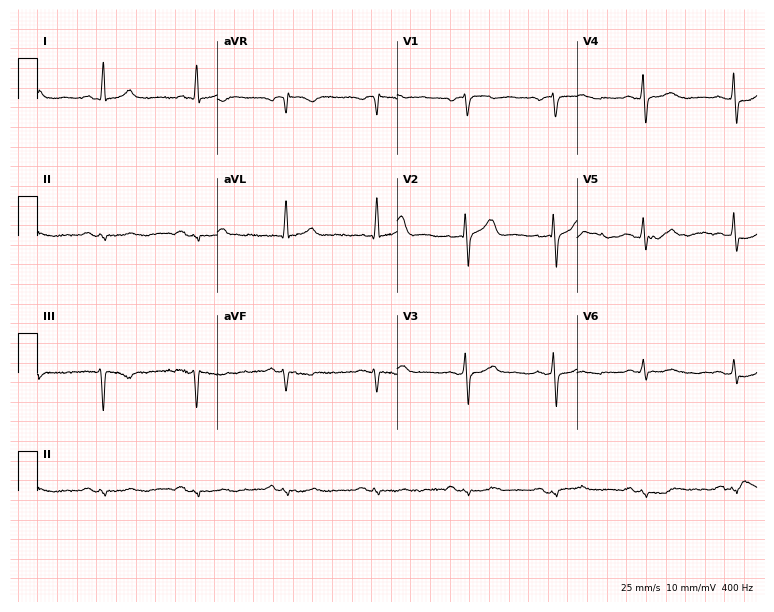
12-lead ECG (7.3-second recording at 400 Hz) from a male, 47 years old. Screened for six findings — first-degree AV block, right bundle branch block (RBBB), left bundle branch block (LBBB), sinus bradycardia, atrial fibrillation (AF), sinus tachycardia — none is recorded. Only these six findings were labelled.